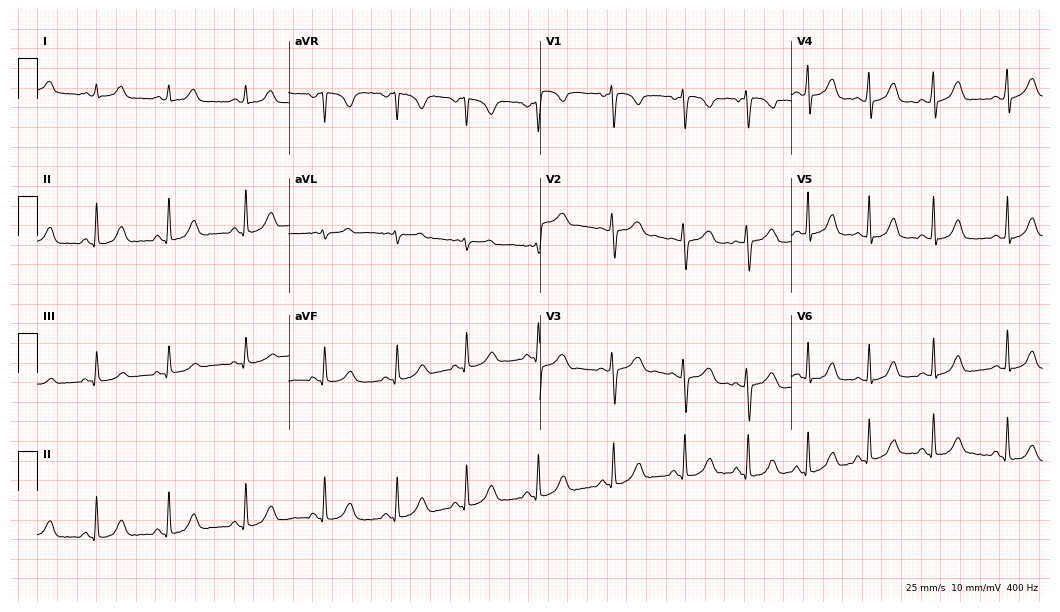
Standard 12-lead ECG recorded from a female, 23 years old (10.2-second recording at 400 Hz). Read as a normal ECG.